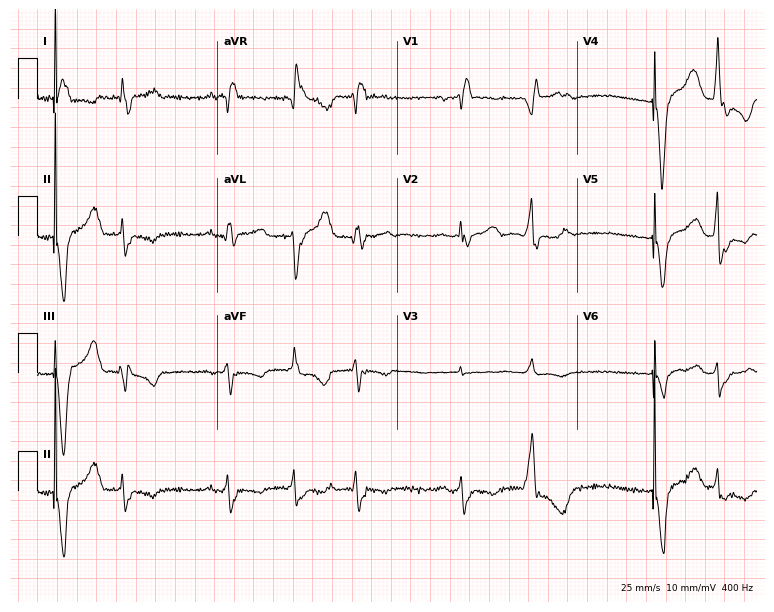
Resting 12-lead electrocardiogram. Patient: a 57-year-old female. The tracing shows first-degree AV block, right bundle branch block.